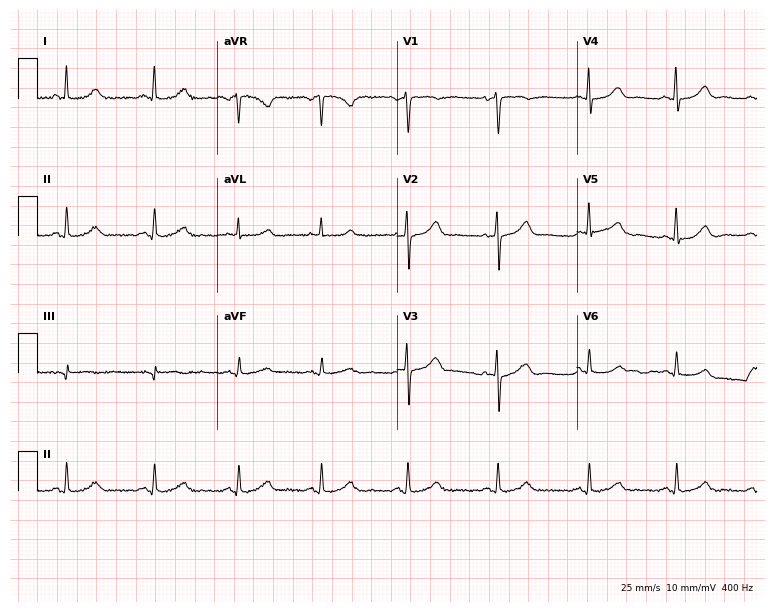
12-lead ECG from a female, 60 years old. Labelled as a normal ECG.